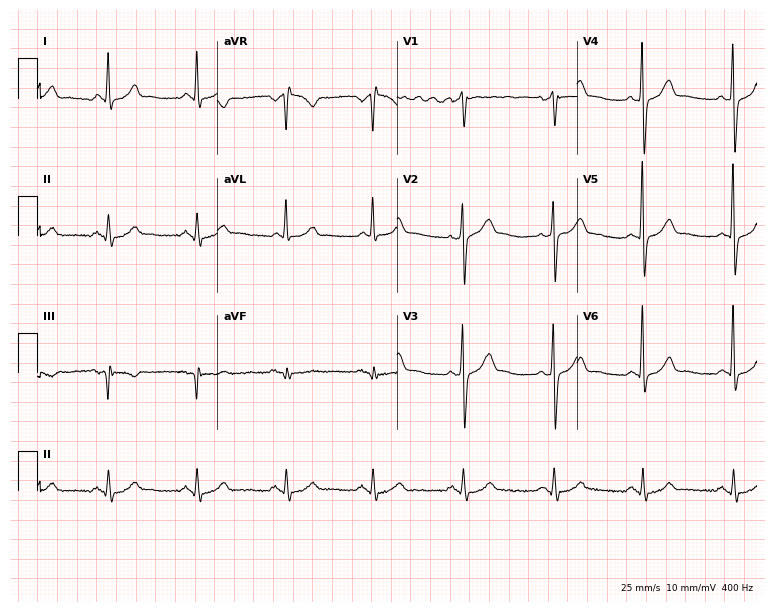
12-lead ECG from a male, 52 years old. Labelled as a normal ECG.